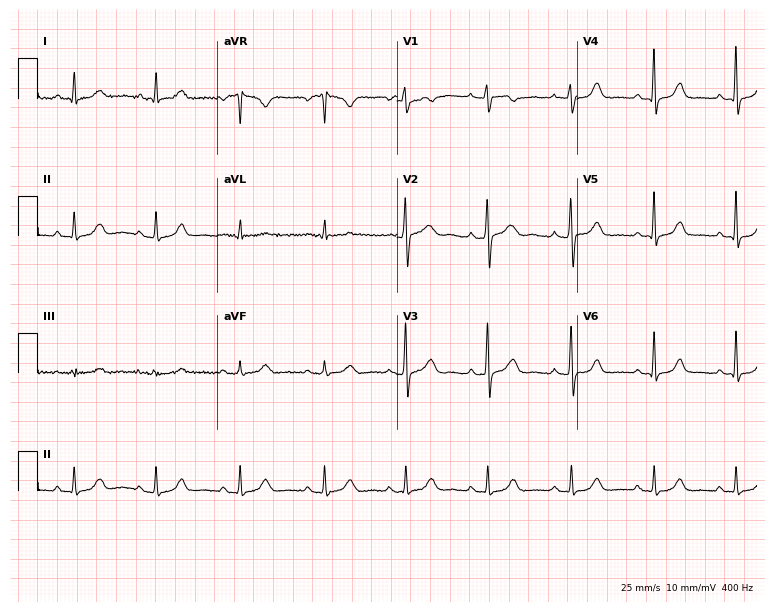
Resting 12-lead electrocardiogram (7.3-second recording at 400 Hz). Patient: a 46-year-old female. Read as a normal ECG.